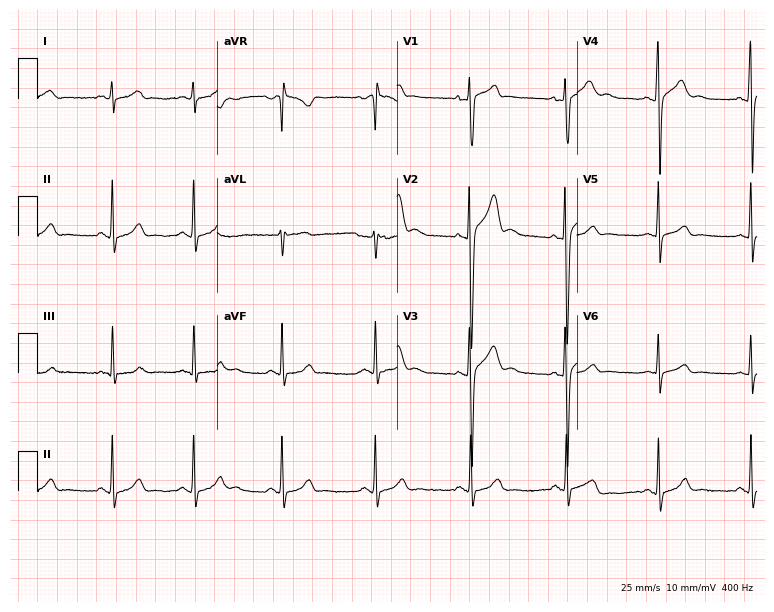
12-lead ECG from a male patient, 25 years old. Screened for six findings — first-degree AV block, right bundle branch block, left bundle branch block, sinus bradycardia, atrial fibrillation, sinus tachycardia — none is recorded.